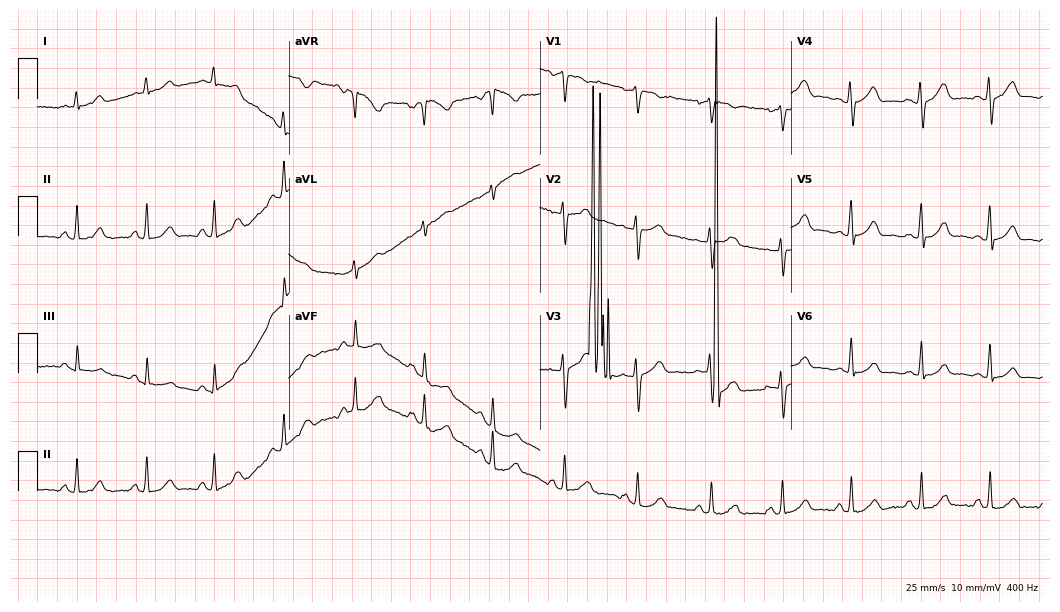
Standard 12-lead ECG recorded from a 37-year-old woman. None of these six findings is recorded: first-degree AV block, right bundle branch block (RBBB), left bundle branch block (LBBB), sinus bradycardia, atrial fibrillation (AF), sinus tachycardia. Only these six findings were labelled.